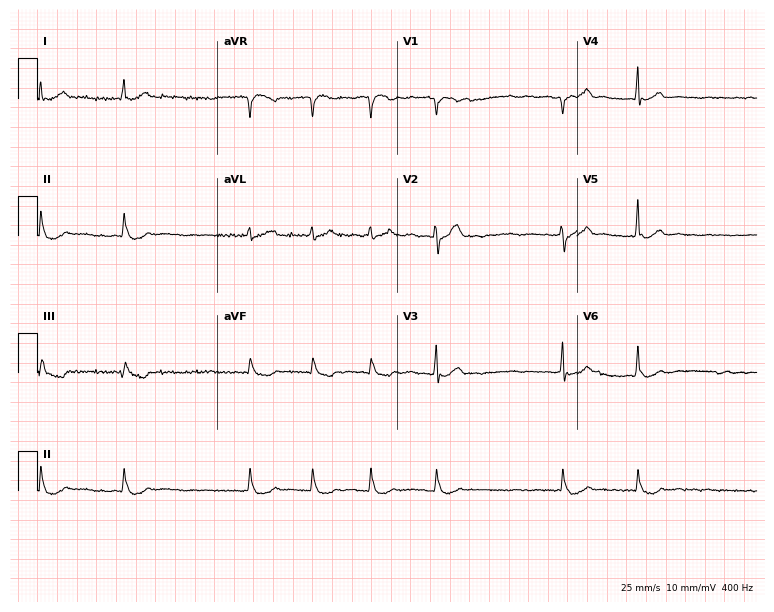
12-lead ECG from an 82-year-old woman (7.3-second recording at 400 Hz). Shows atrial fibrillation.